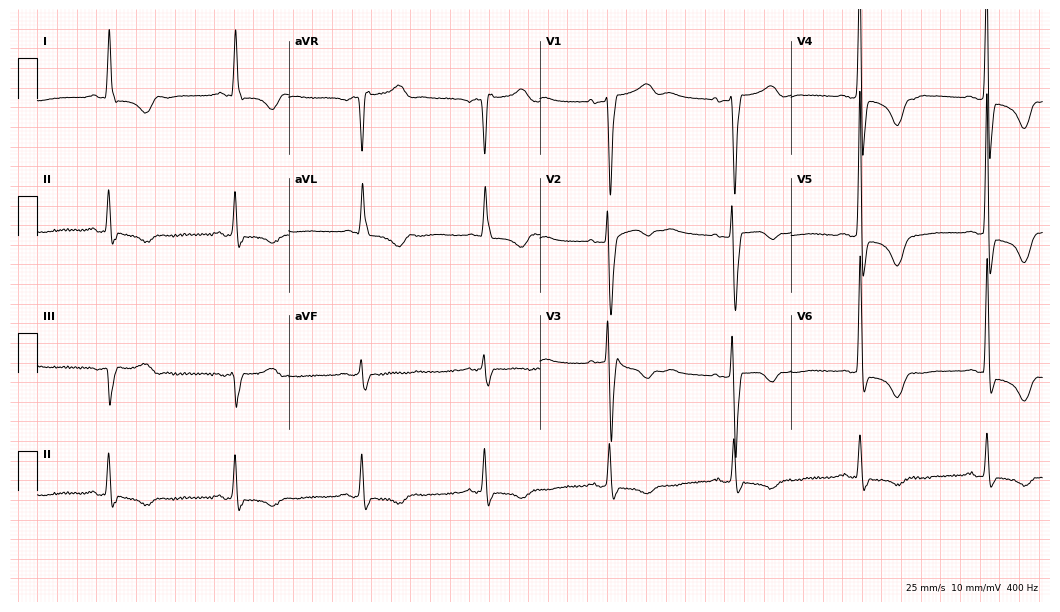
12-lead ECG (10.2-second recording at 400 Hz) from a 70-year-old male. Screened for six findings — first-degree AV block, right bundle branch block, left bundle branch block, sinus bradycardia, atrial fibrillation, sinus tachycardia — none is recorded. Findings outside these six are not listed.